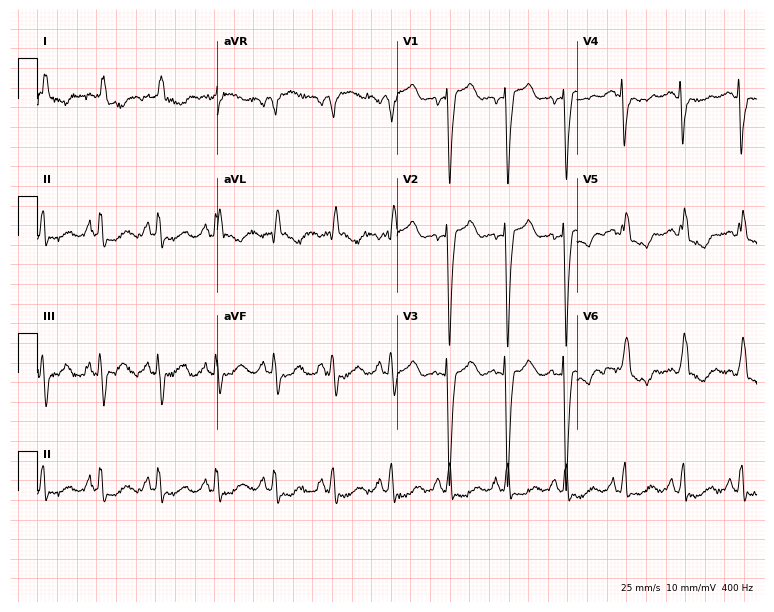
12-lead ECG from a 71-year-old female patient (7.3-second recording at 400 Hz). Shows sinus tachycardia (a sinus rate of 100 beats per minute or more).